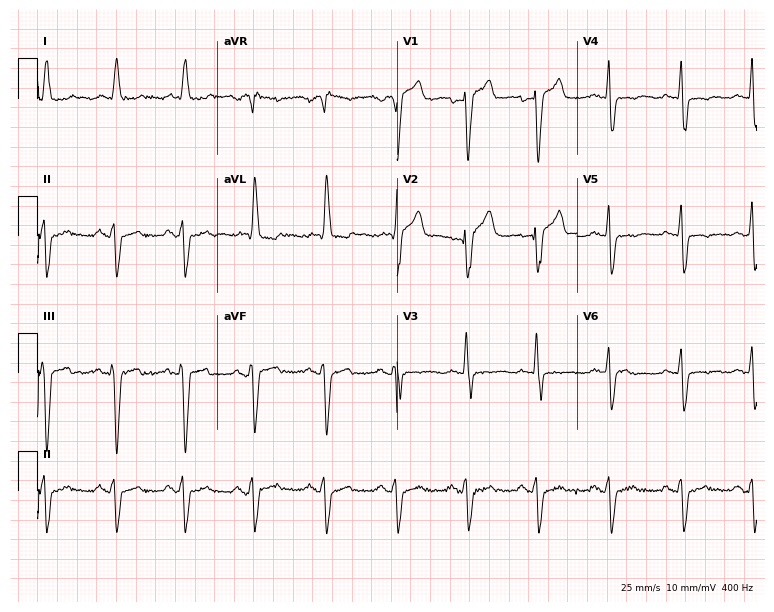
12-lead ECG from a 63-year-old male. Shows left bundle branch block (LBBB).